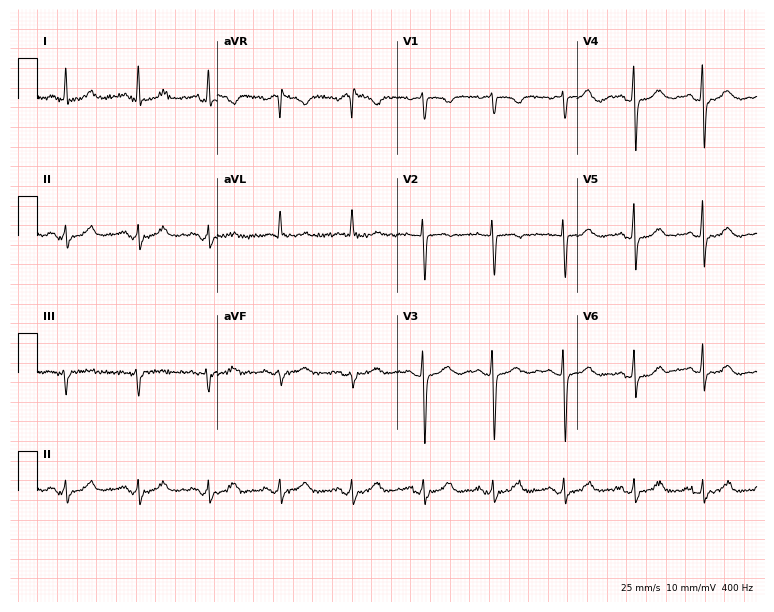
Standard 12-lead ECG recorded from a 76-year-old female. Read as a normal ECG.